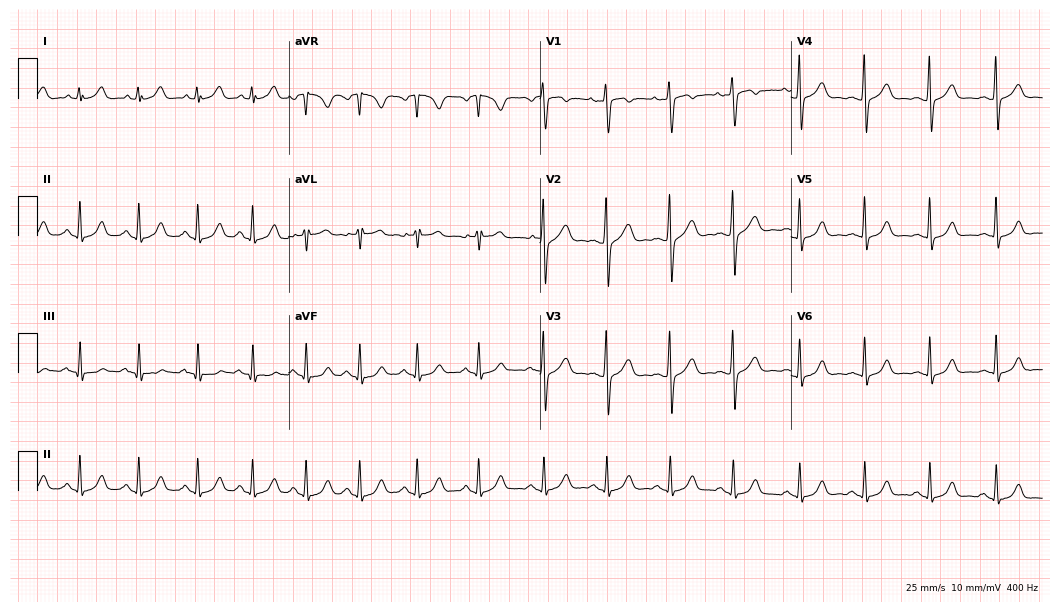
Standard 12-lead ECG recorded from a 20-year-old woman. Read as a normal ECG.